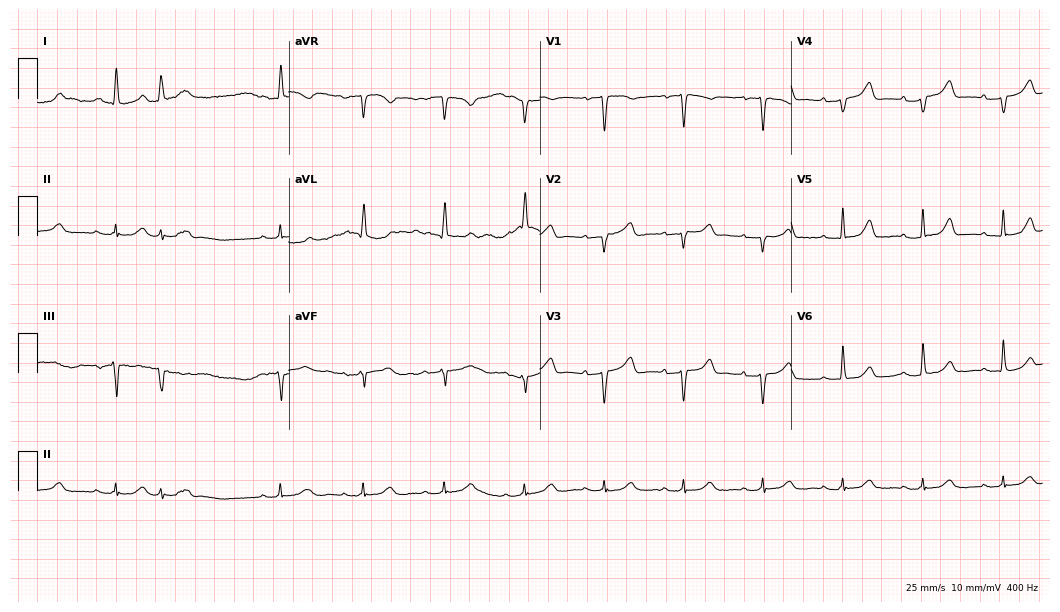
ECG — a female patient, 75 years old. Screened for six findings — first-degree AV block, right bundle branch block (RBBB), left bundle branch block (LBBB), sinus bradycardia, atrial fibrillation (AF), sinus tachycardia — none is recorded. Only these six findings were labelled.